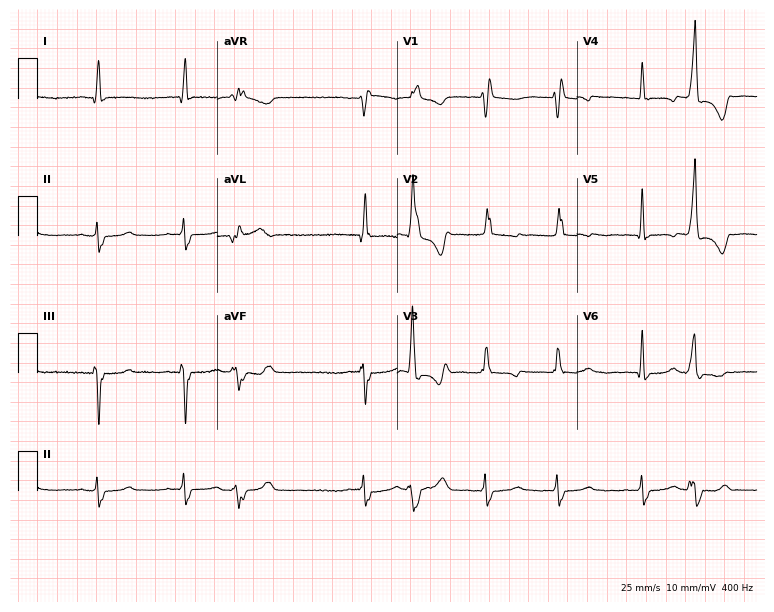
Standard 12-lead ECG recorded from a 31-year-old female (7.3-second recording at 400 Hz). The tracing shows right bundle branch block, atrial fibrillation.